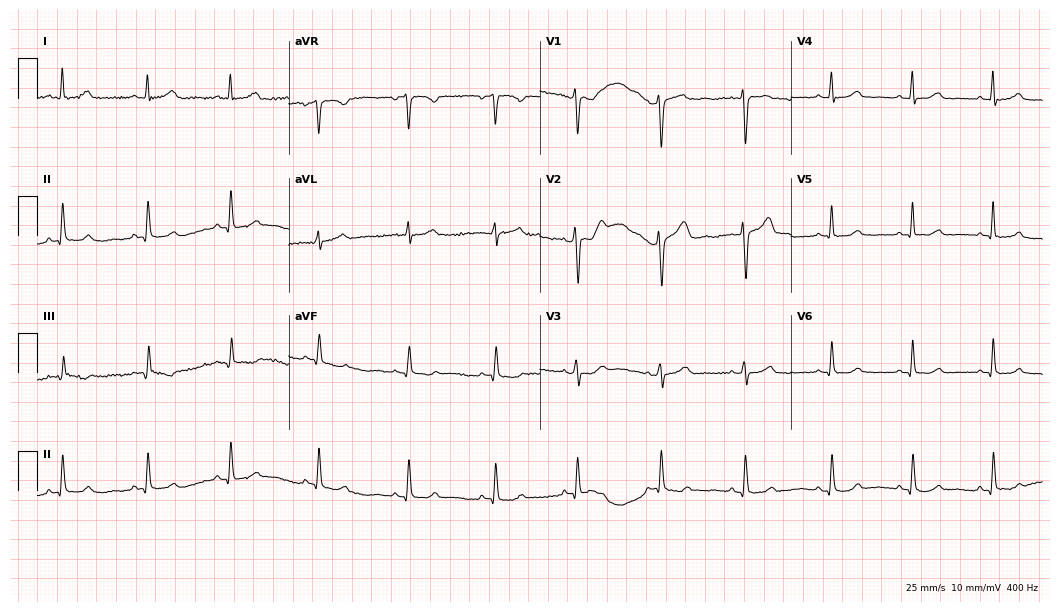
Standard 12-lead ECG recorded from a 37-year-old female. Read as a normal ECG.